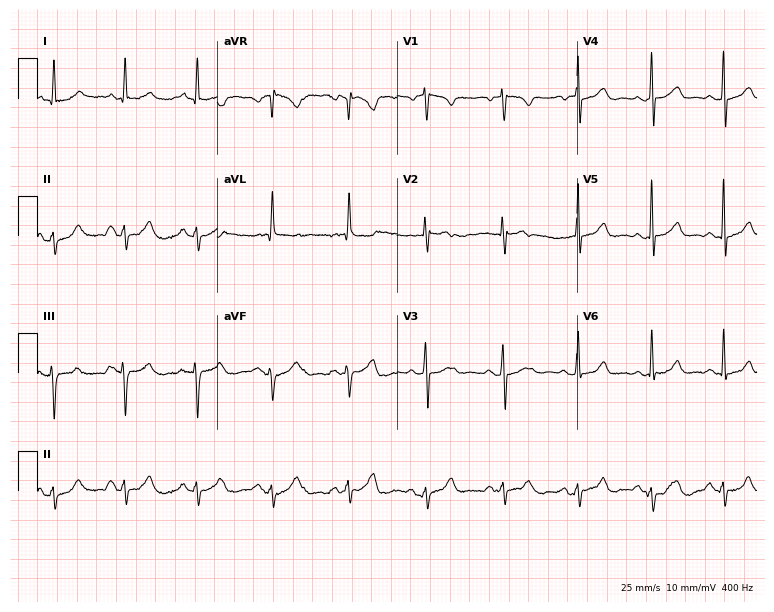
Electrocardiogram, a 58-year-old female. Of the six screened findings (first-degree AV block, right bundle branch block, left bundle branch block, sinus bradycardia, atrial fibrillation, sinus tachycardia), none is recorded. Other findings, if any, are not listed.